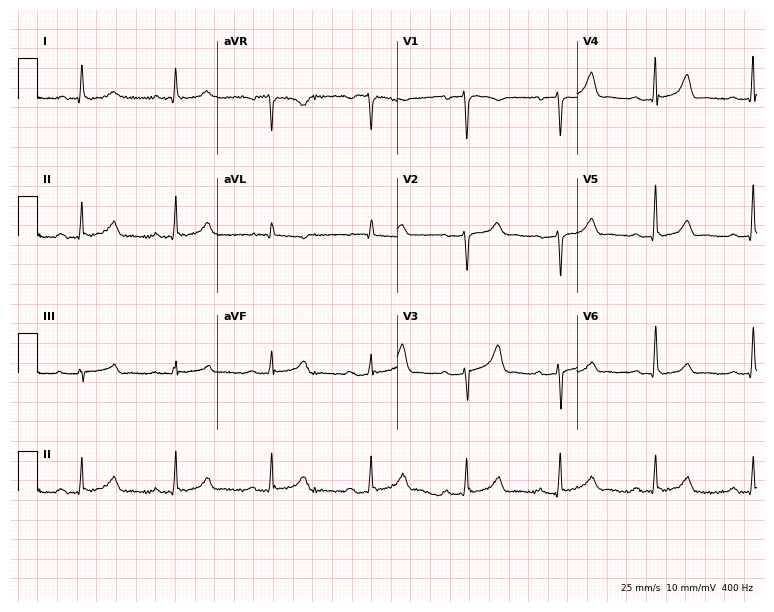
12-lead ECG from a 55-year-old female patient (7.3-second recording at 400 Hz). Recorded interpretation: within normal limits.